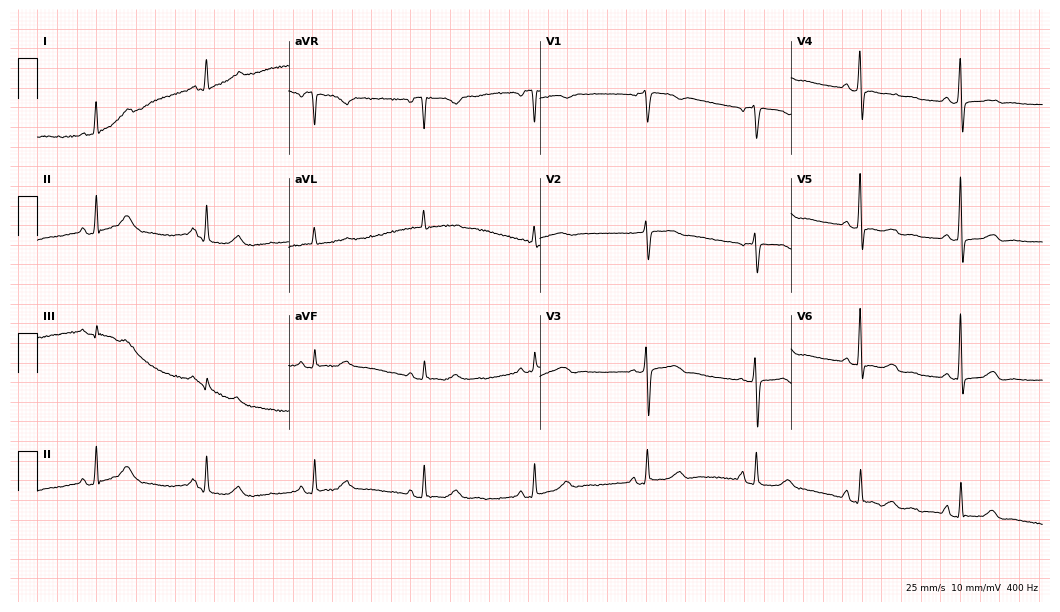
Standard 12-lead ECG recorded from a 66-year-old female patient (10.2-second recording at 400 Hz). None of these six findings is recorded: first-degree AV block, right bundle branch block, left bundle branch block, sinus bradycardia, atrial fibrillation, sinus tachycardia.